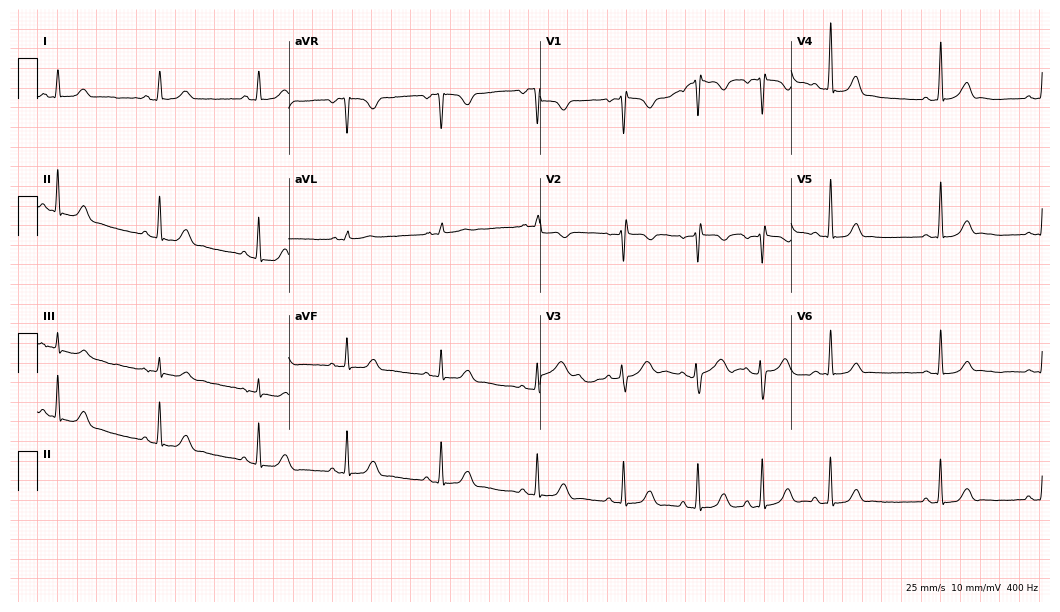
12-lead ECG from a female, 17 years old. Labelled as a normal ECG.